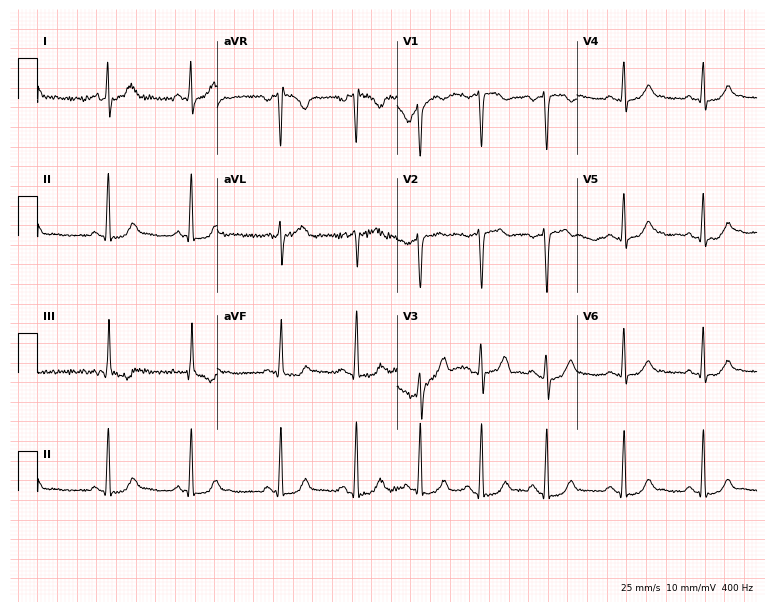
12-lead ECG (7.3-second recording at 400 Hz) from a woman, 24 years old. Labelled as a normal ECG.